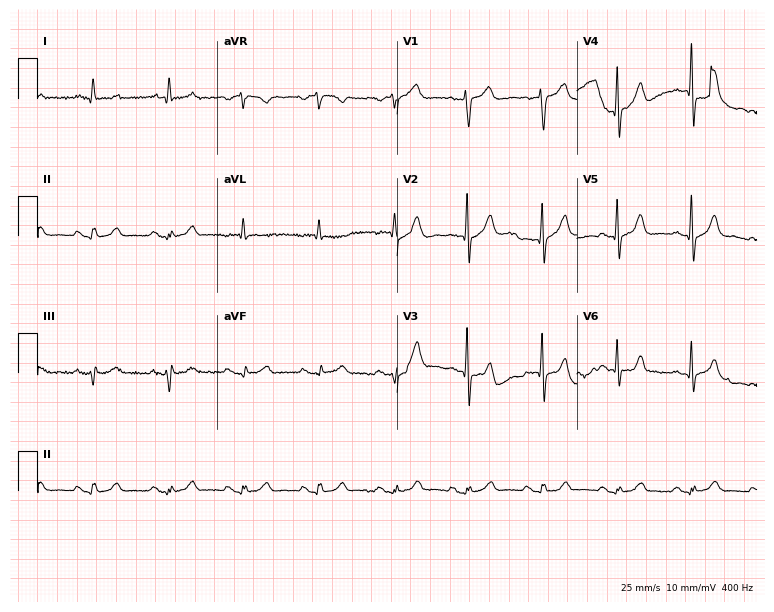
Resting 12-lead electrocardiogram. Patient: a male, 80 years old. Read as a normal ECG.